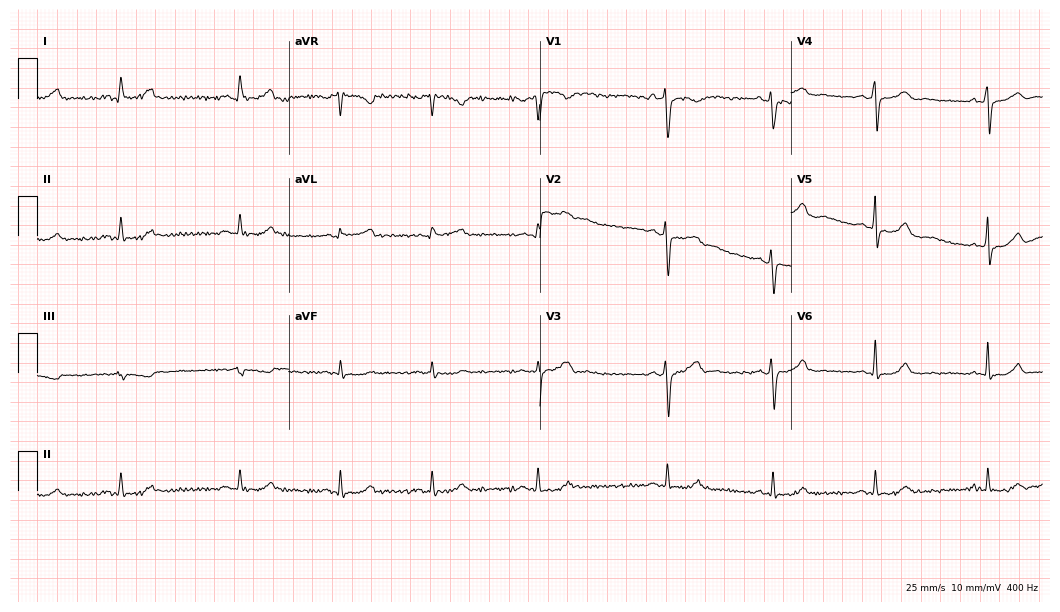
Resting 12-lead electrocardiogram. Patient: a female, 28 years old. Read as a normal ECG.